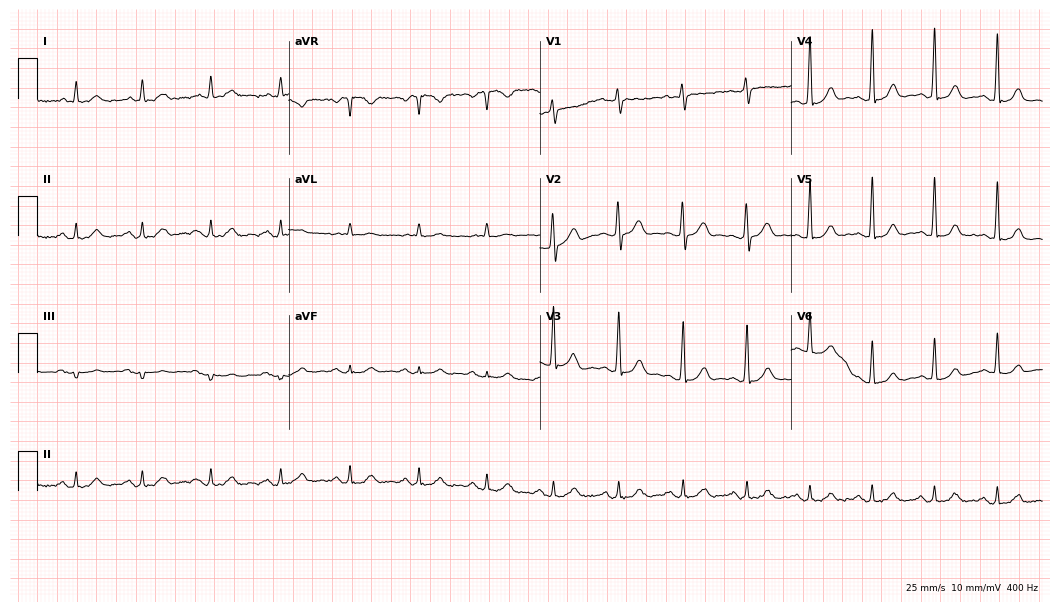
Resting 12-lead electrocardiogram (10.2-second recording at 400 Hz). Patient: a male, 58 years old. Read as a normal ECG.